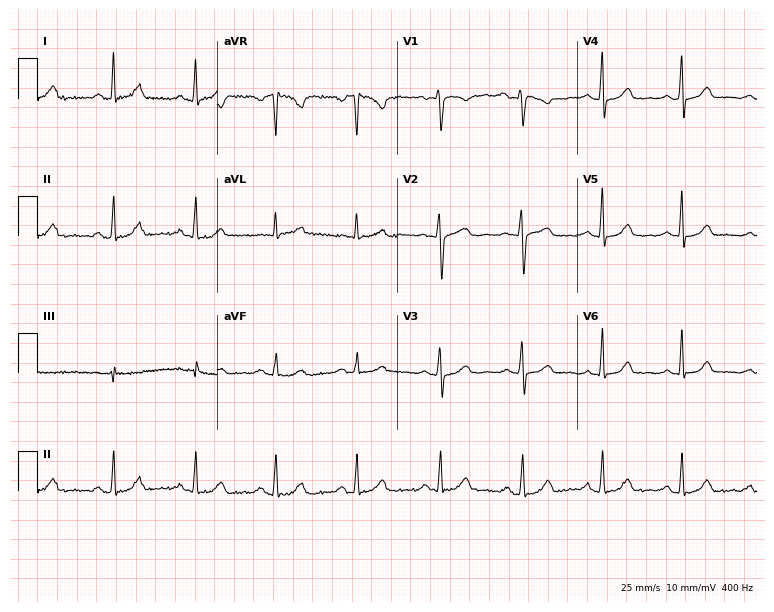
ECG (7.3-second recording at 400 Hz) — a female, 58 years old. Labelled as a normal ECG.